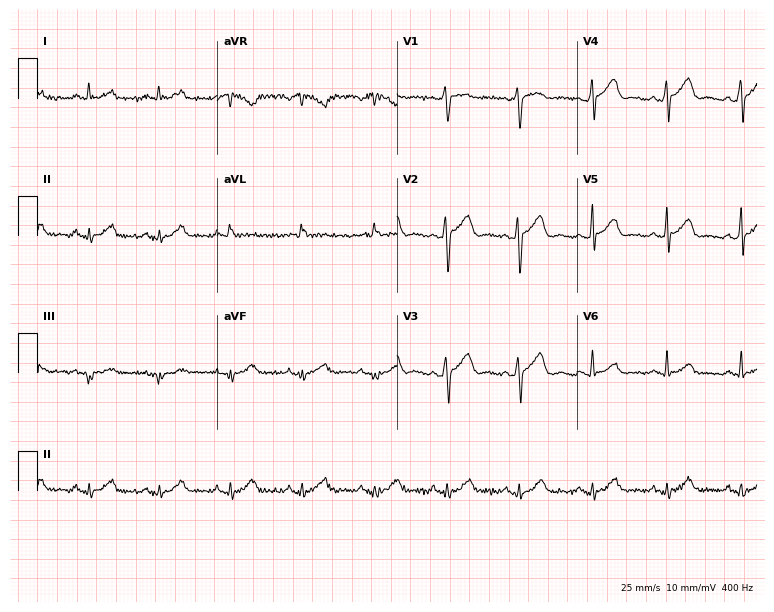
Resting 12-lead electrocardiogram. Patient: a male, 46 years old. Read as a normal ECG.